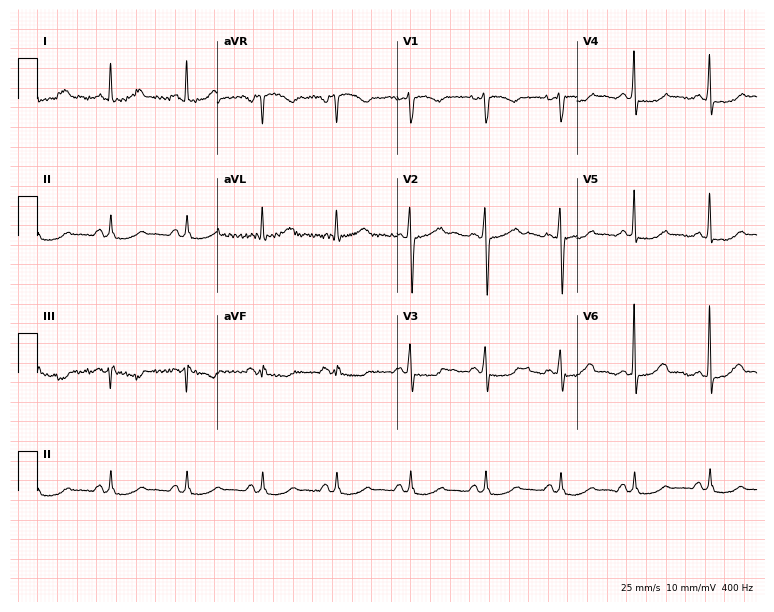
Electrocardiogram (7.3-second recording at 400 Hz), a female, 49 years old. Of the six screened findings (first-degree AV block, right bundle branch block (RBBB), left bundle branch block (LBBB), sinus bradycardia, atrial fibrillation (AF), sinus tachycardia), none is recorded. Findings outside these six are not listed.